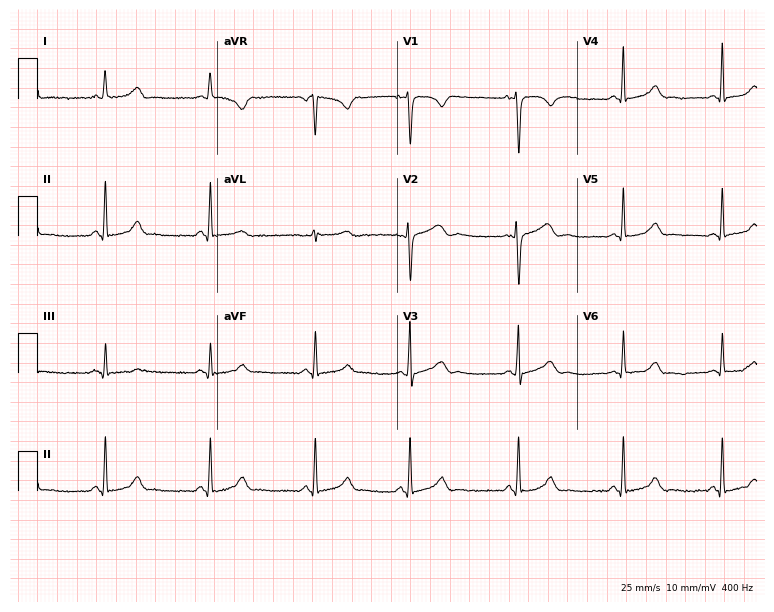
12-lead ECG (7.3-second recording at 400 Hz) from a 20-year-old female. Screened for six findings — first-degree AV block, right bundle branch block, left bundle branch block, sinus bradycardia, atrial fibrillation, sinus tachycardia — none is recorded. Findings outside these six are not listed.